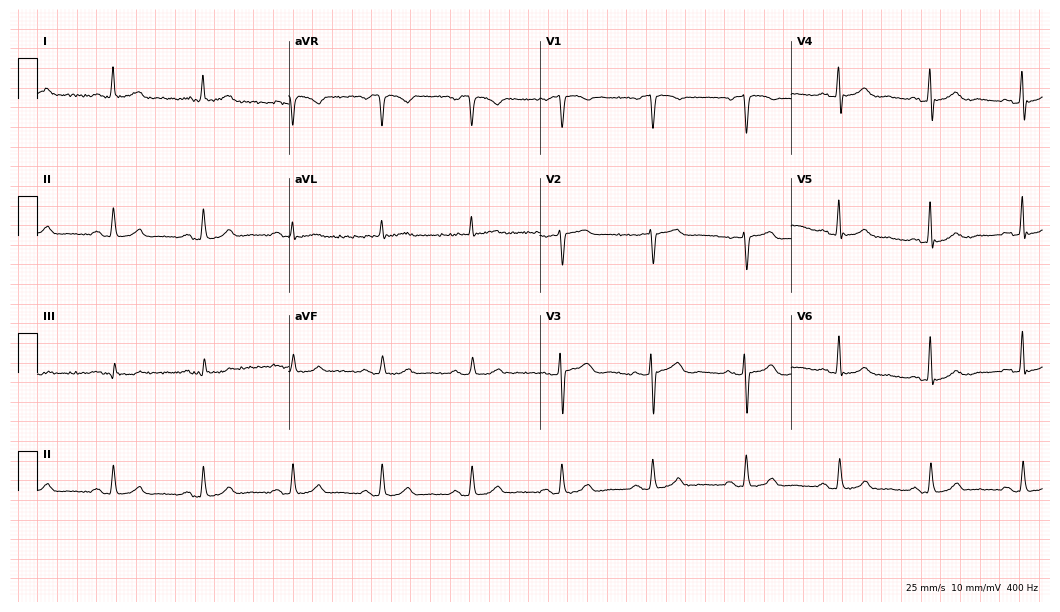
Resting 12-lead electrocardiogram. Patient: a male, 72 years old. Read as a normal ECG.